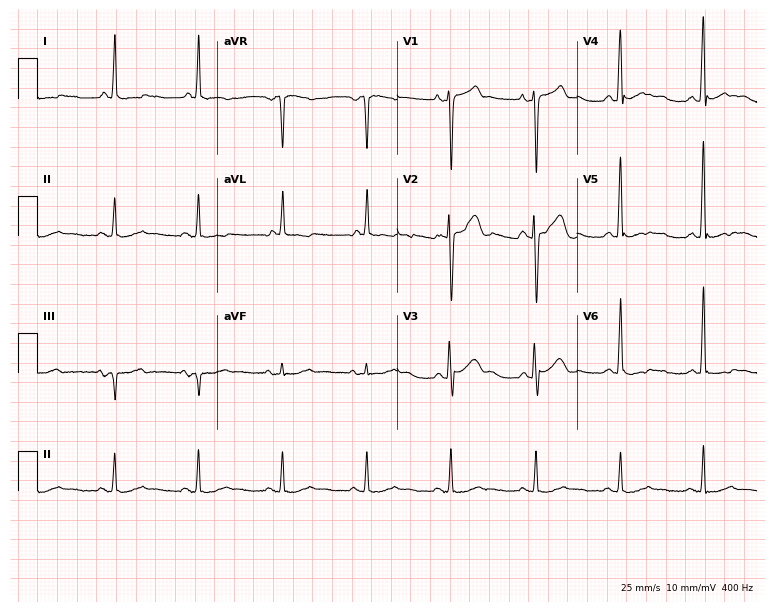
Standard 12-lead ECG recorded from a man, 56 years old (7.3-second recording at 400 Hz). None of these six findings is recorded: first-degree AV block, right bundle branch block, left bundle branch block, sinus bradycardia, atrial fibrillation, sinus tachycardia. Only these six findings were labelled.